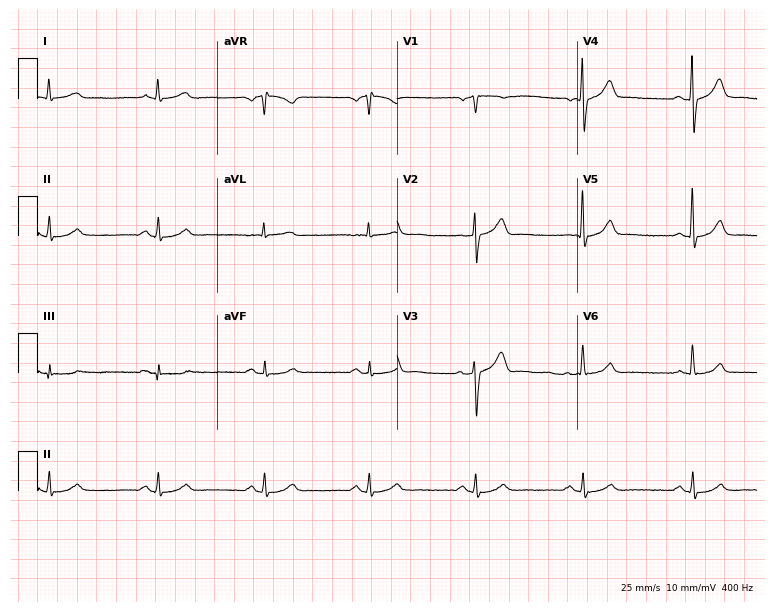
ECG (7.3-second recording at 400 Hz) — a 60-year-old male patient. Labelled as a normal ECG.